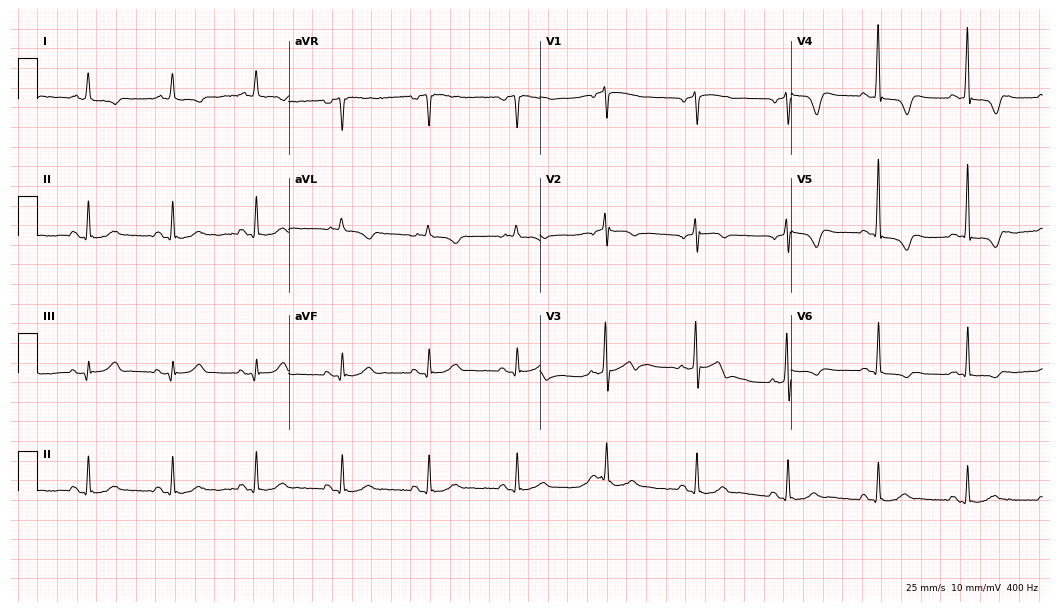
12-lead ECG from a 76-year-old man. Screened for six findings — first-degree AV block, right bundle branch block, left bundle branch block, sinus bradycardia, atrial fibrillation, sinus tachycardia — none is recorded. Findings outside these six are not listed.